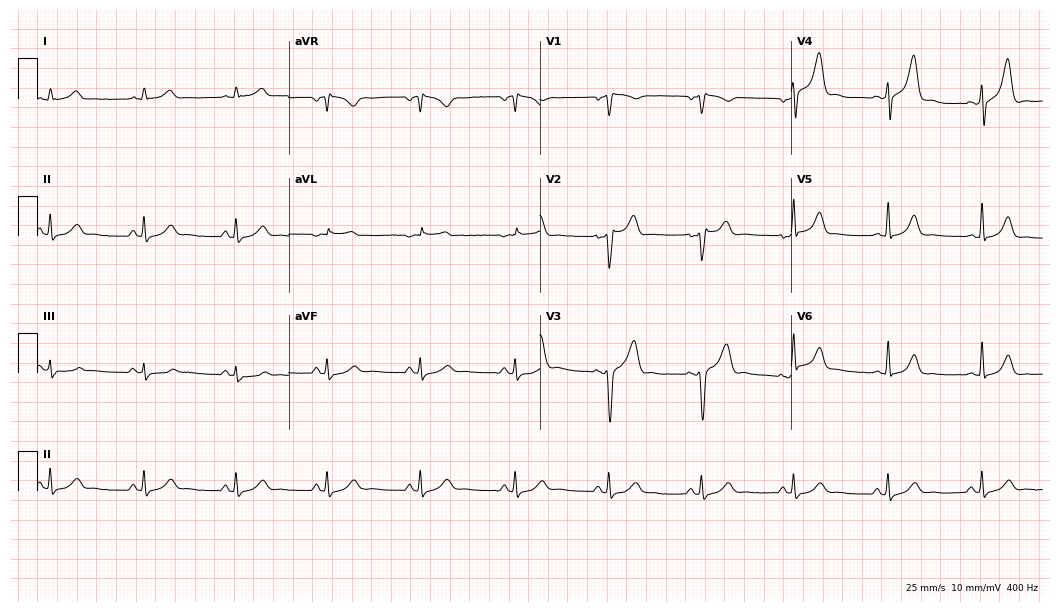
Resting 12-lead electrocardiogram. Patient: a 58-year-old male. None of these six findings is recorded: first-degree AV block, right bundle branch block, left bundle branch block, sinus bradycardia, atrial fibrillation, sinus tachycardia.